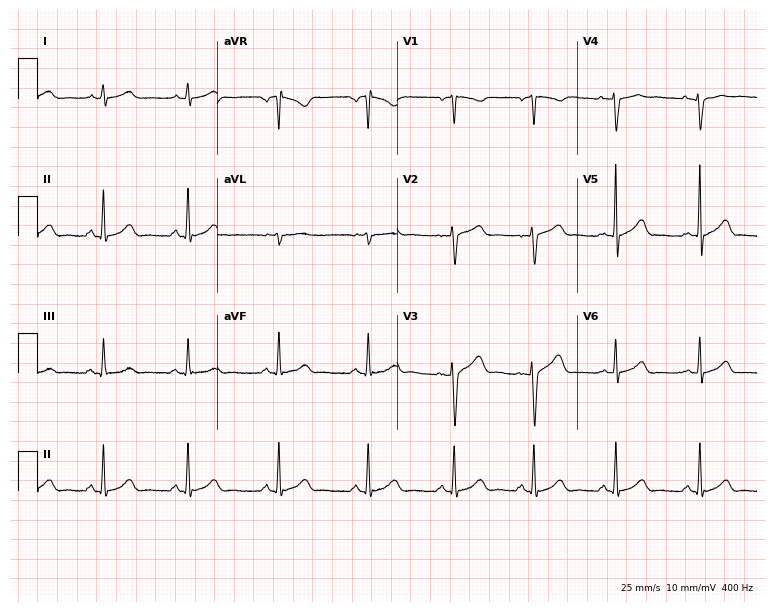
Resting 12-lead electrocardiogram (7.3-second recording at 400 Hz). Patient: a 22-year-old female. Read as a normal ECG.